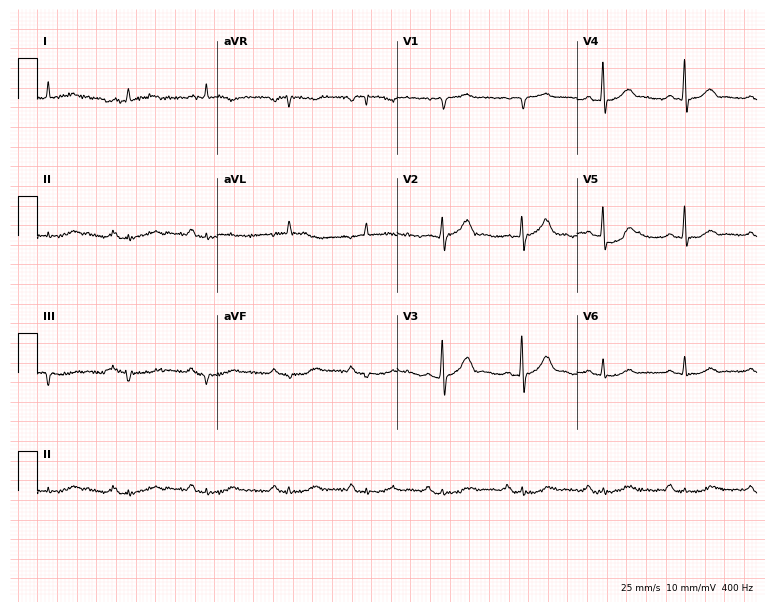
12-lead ECG from a 70-year-old man. No first-degree AV block, right bundle branch block (RBBB), left bundle branch block (LBBB), sinus bradycardia, atrial fibrillation (AF) or sinus tachycardia recorded for this tracing. Only these six findings were labelled.